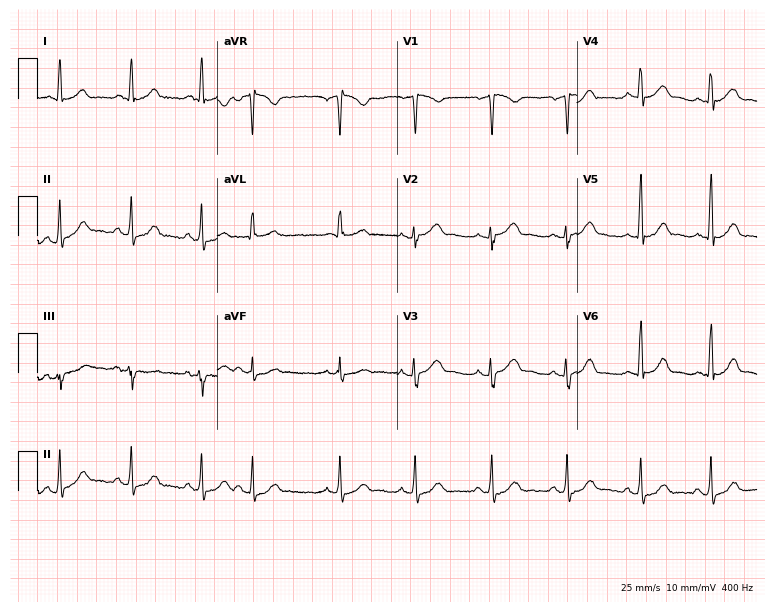
ECG (7.3-second recording at 400 Hz) — a 45-year-old woman. Screened for six findings — first-degree AV block, right bundle branch block (RBBB), left bundle branch block (LBBB), sinus bradycardia, atrial fibrillation (AF), sinus tachycardia — none is recorded. Only these six findings were labelled.